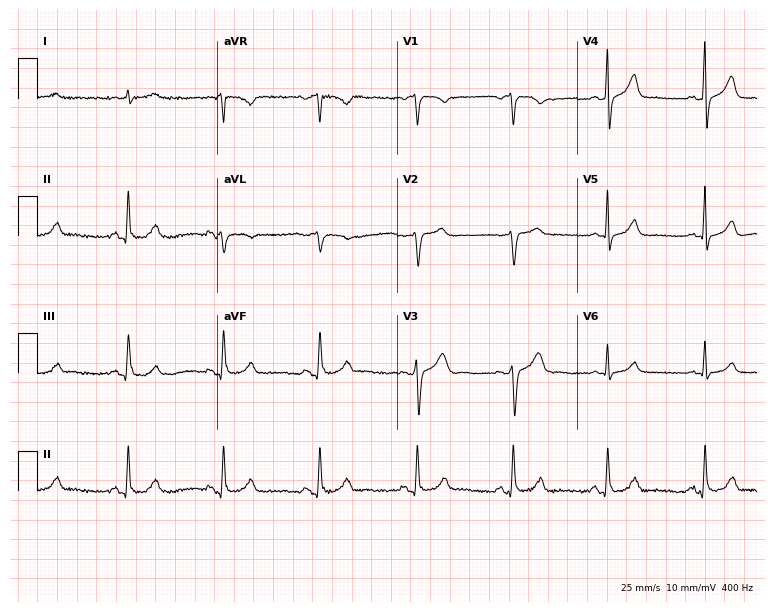
12-lead ECG from a man, 55 years old (7.3-second recording at 400 Hz). Recorded interpretation: within normal limits.